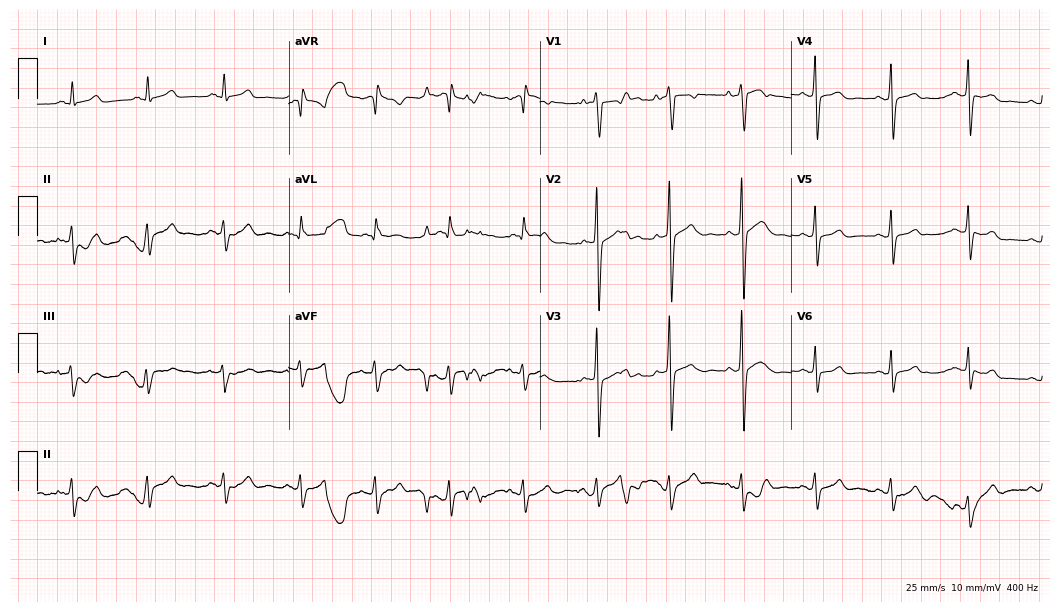
Electrocardiogram, a male, 35 years old. Overall reading on record: normal ECG.